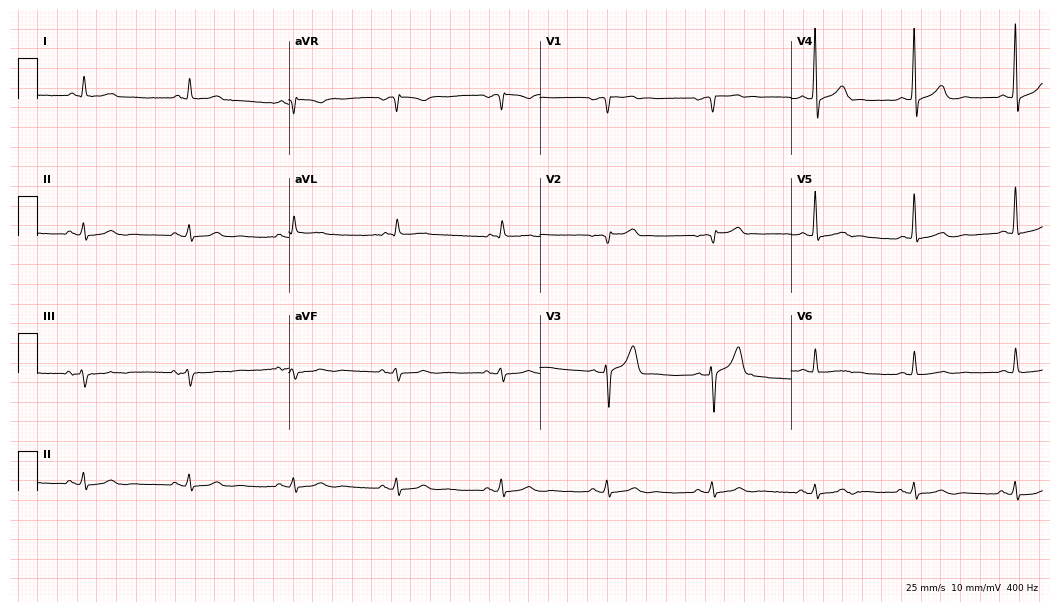
Resting 12-lead electrocardiogram. Patient: a 71-year-old male. Read as a normal ECG.